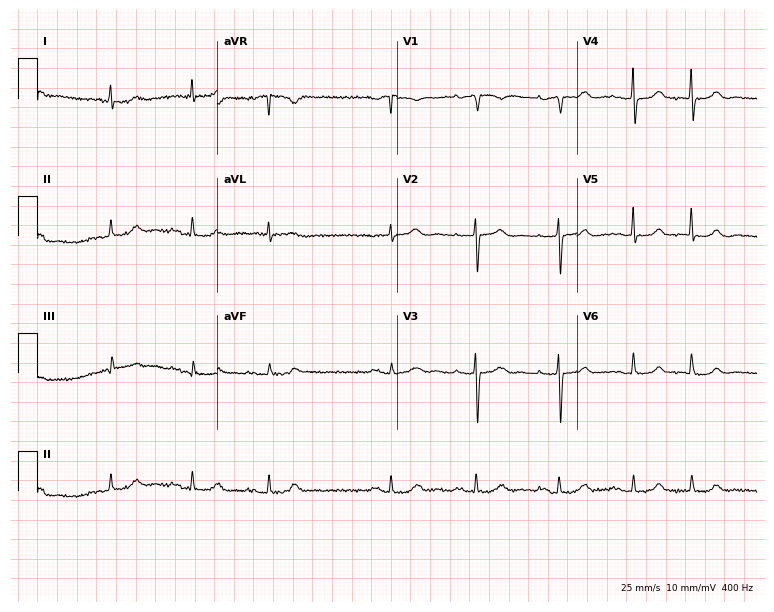
Resting 12-lead electrocardiogram (7.3-second recording at 400 Hz). Patient: an 81-year-old woman. None of these six findings is recorded: first-degree AV block, right bundle branch block, left bundle branch block, sinus bradycardia, atrial fibrillation, sinus tachycardia.